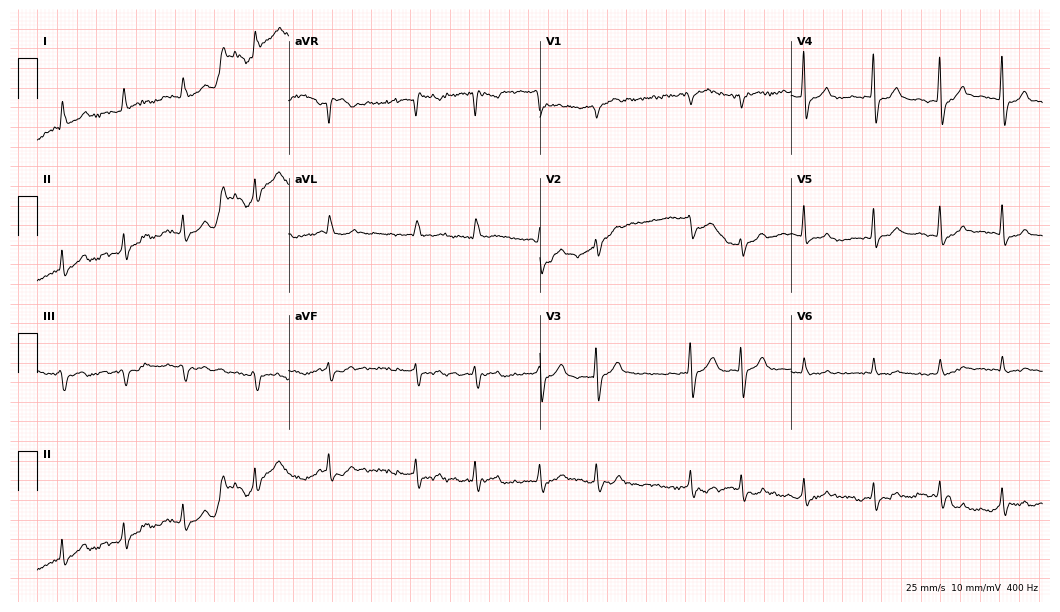
Standard 12-lead ECG recorded from a female, 67 years old (10.2-second recording at 400 Hz). The tracing shows atrial fibrillation.